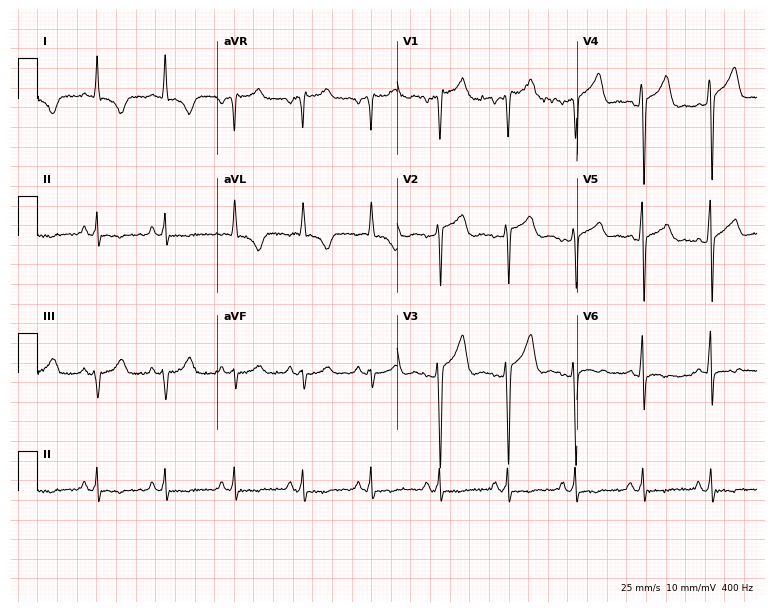
12-lead ECG from a 35-year-old male patient. No first-degree AV block, right bundle branch block, left bundle branch block, sinus bradycardia, atrial fibrillation or sinus tachycardia recorded for this tracing. Other findings, if any, are not listed.